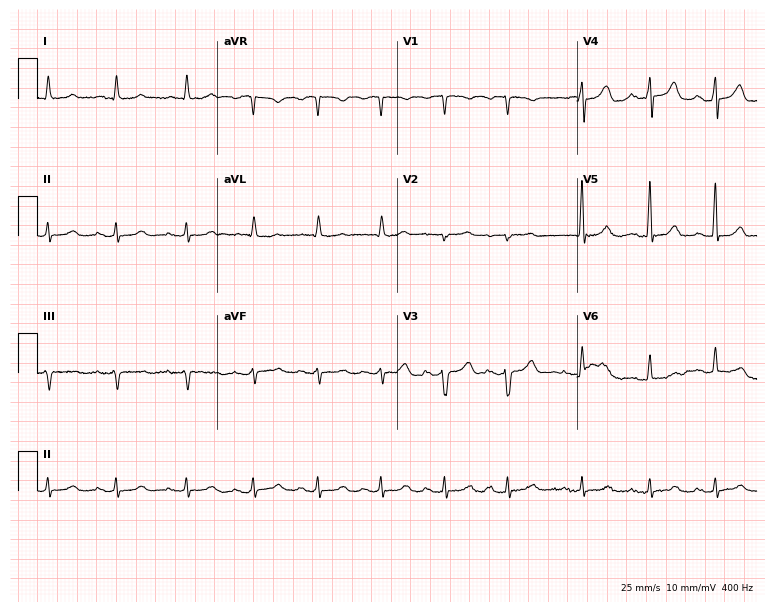
Resting 12-lead electrocardiogram. Patient: a woman, 66 years old. None of these six findings is recorded: first-degree AV block, right bundle branch block (RBBB), left bundle branch block (LBBB), sinus bradycardia, atrial fibrillation (AF), sinus tachycardia. Only these six findings were labelled.